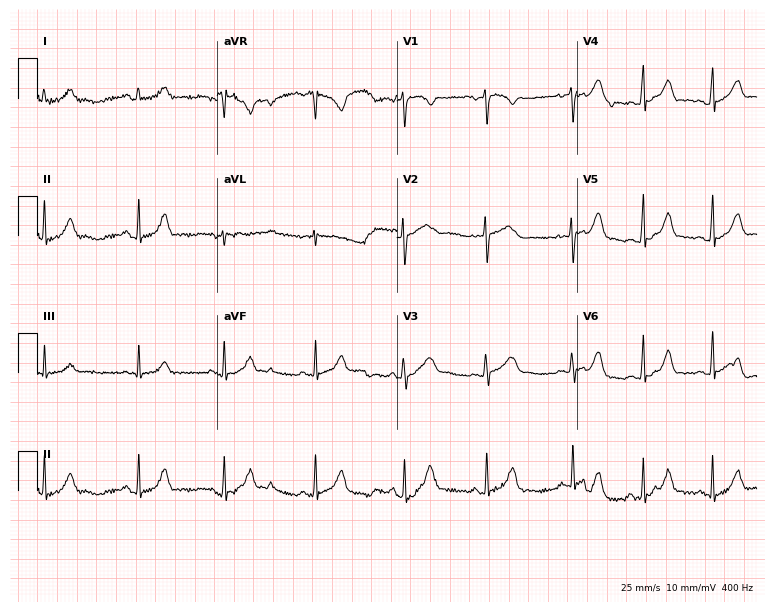
Resting 12-lead electrocardiogram. Patient: a 23-year-old woman. Read as a normal ECG.